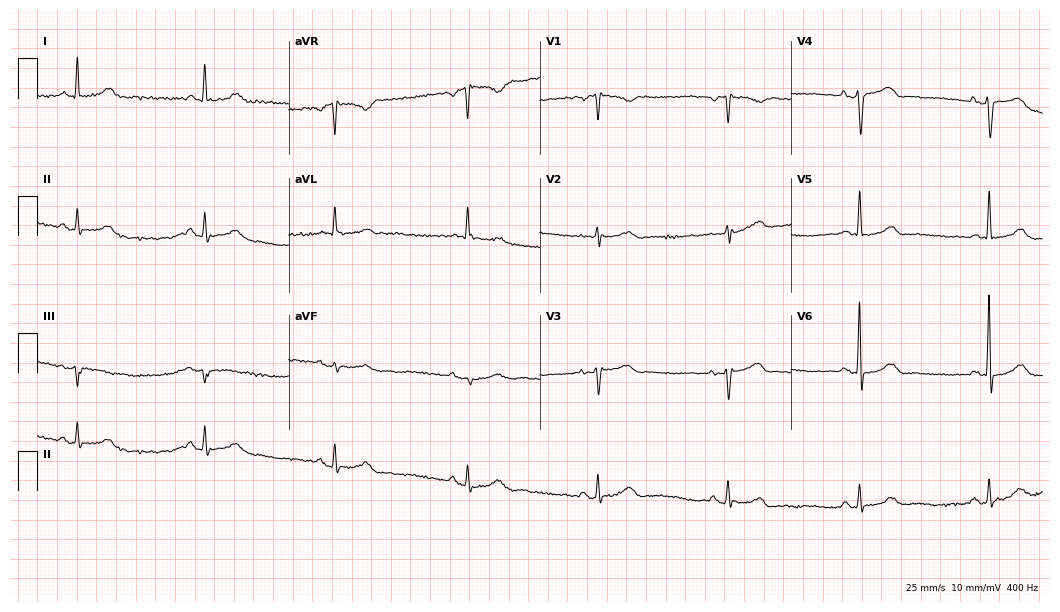
Electrocardiogram (10.2-second recording at 400 Hz), a 59-year-old woman. Interpretation includes sinus bradycardia (a sinus rate of 50 beats per minute or less).